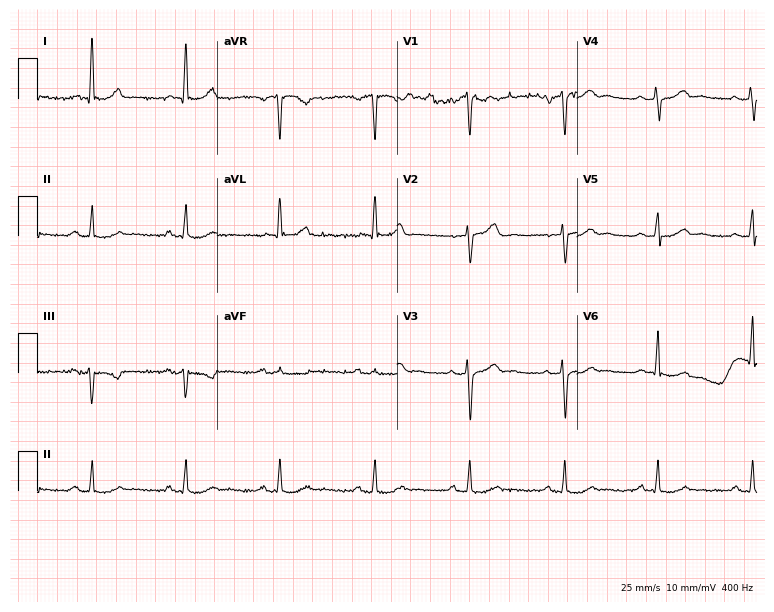
12-lead ECG from a female patient, 70 years old (7.3-second recording at 400 Hz). No first-degree AV block, right bundle branch block (RBBB), left bundle branch block (LBBB), sinus bradycardia, atrial fibrillation (AF) or sinus tachycardia recorded for this tracing.